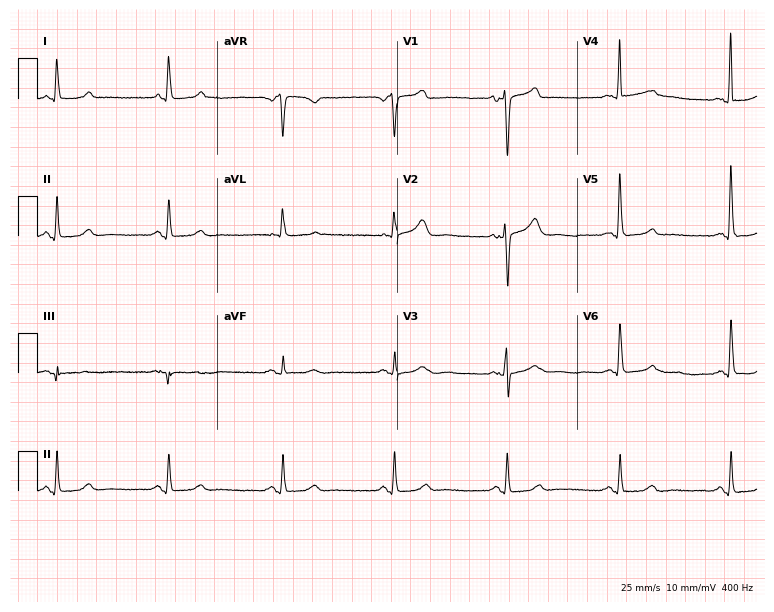
Resting 12-lead electrocardiogram (7.3-second recording at 400 Hz). Patient: a 64-year-old female. Read as a normal ECG.